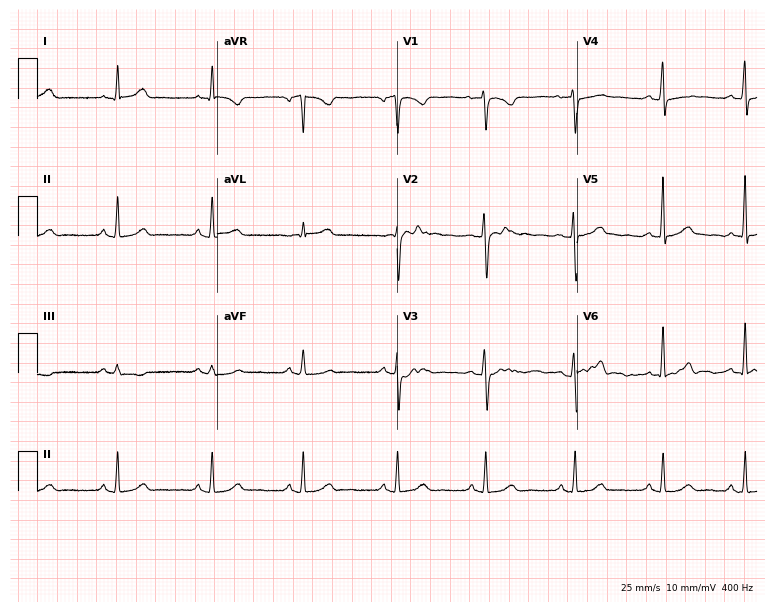
ECG — a 37-year-old female patient. Labelled as a normal ECG.